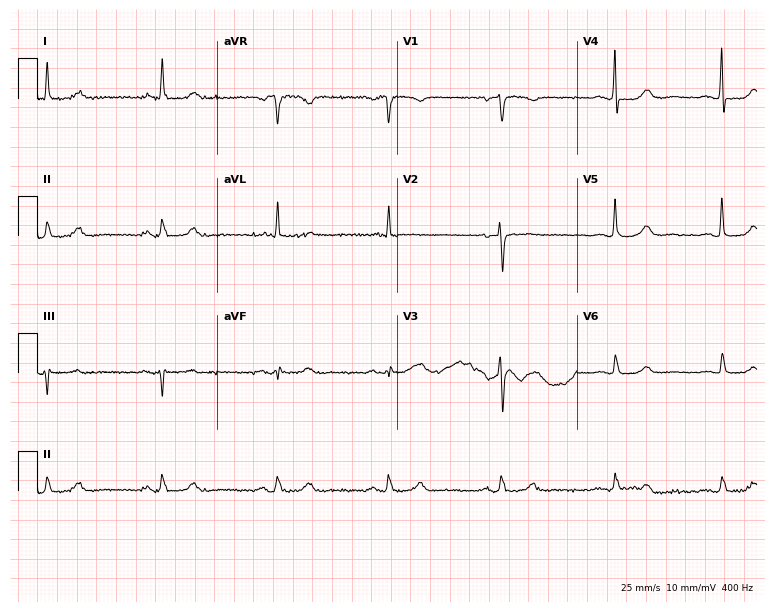
Resting 12-lead electrocardiogram (7.3-second recording at 400 Hz). Patient: a woman, 81 years old. Read as a normal ECG.